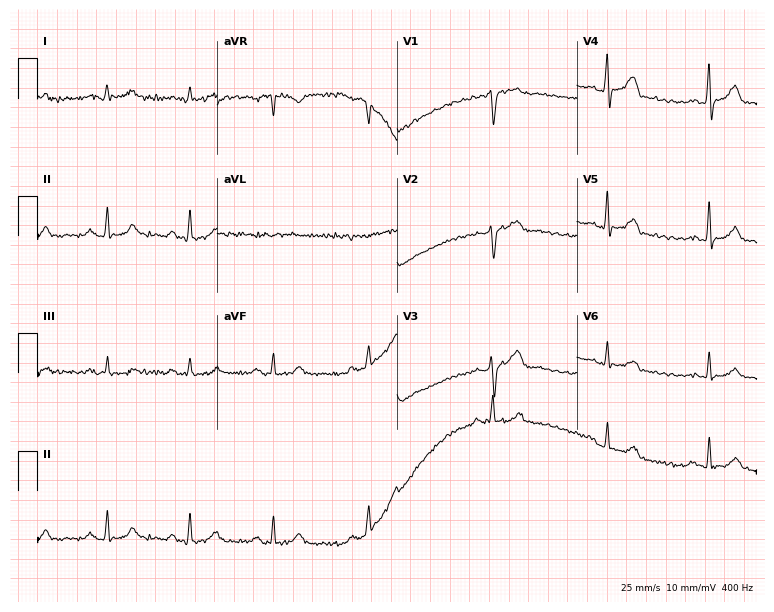
Electrocardiogram (7.3-second recording at 400 Hz), a 43-year-old female patient. Of the six screened findings (first-degree AV block, right bundle branch block (RBBB), left bundle branch block (LBBB), sinus bradycardia, atrial fibrillation (AF), sinus tachycardia), none is recorded.